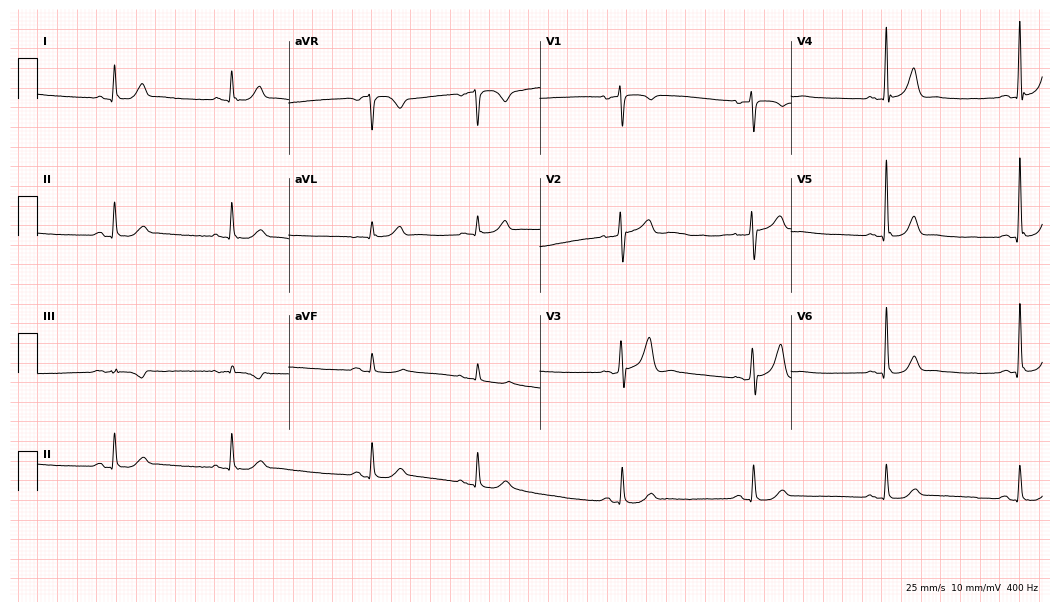
ECG (10.2-second recording at 400 Hz) — a 72-year-old man. Screened for six findings — first-degree AV block, right bundle branch block, left bundle branch block, sinus bradycardia, atrial fibrillation, sinus tachycardia — none is recorded. Findings outside these six are not listed.